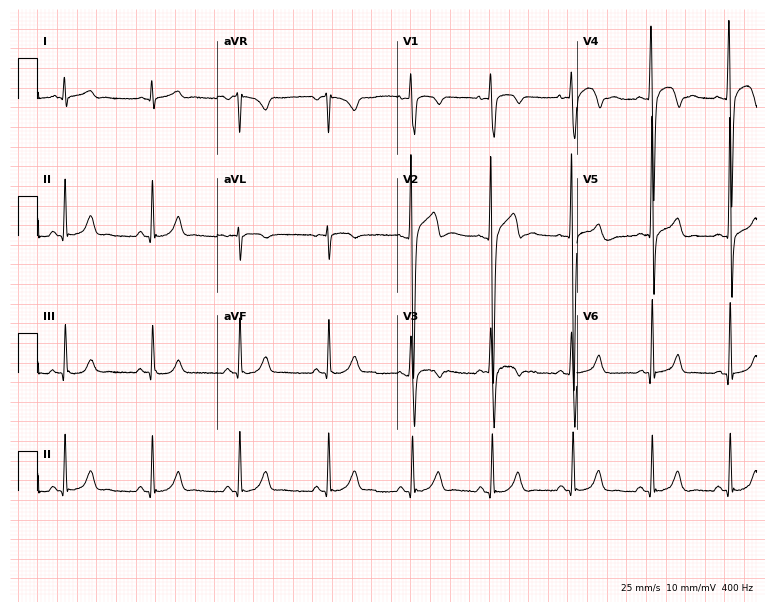
12-lead ECG from a 37-year-old man. Recorded interpretation: within normal limits.